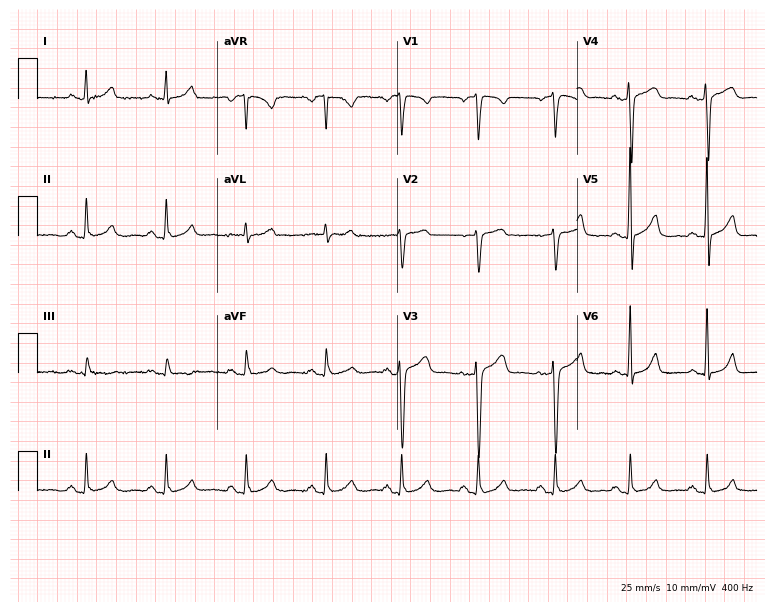
Standard 12-lead ECG recorded from a 46-year-old female patient (7.3-second recording at 400 Hz). None of these six findings is recorded: first-degree AV block, right bundle branch block, left bundle branch block, sinus bradycardia, atrial fibrillation, sinus tachycardia.